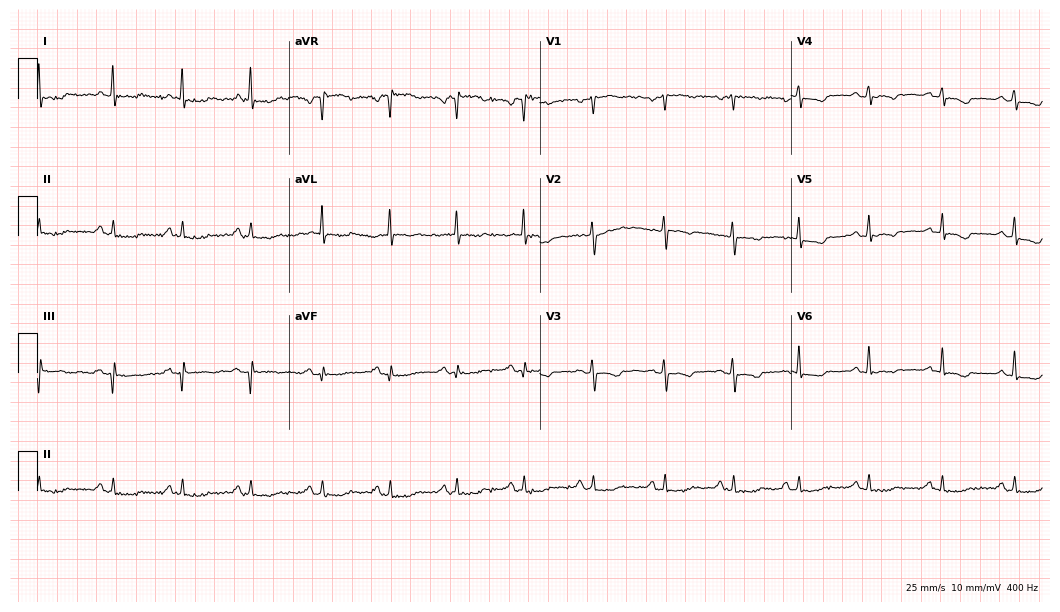
12-lead ECG (10.2-second recording at 400 Hz) from a 57-year-old female. Screened for six findings — first-degree AV block, right bundle branch block, left bundle branch block, sinus bradycardia, atrial fibrillation, sinus tachycardia — none is recorded. Other findings, if any, are not listed.